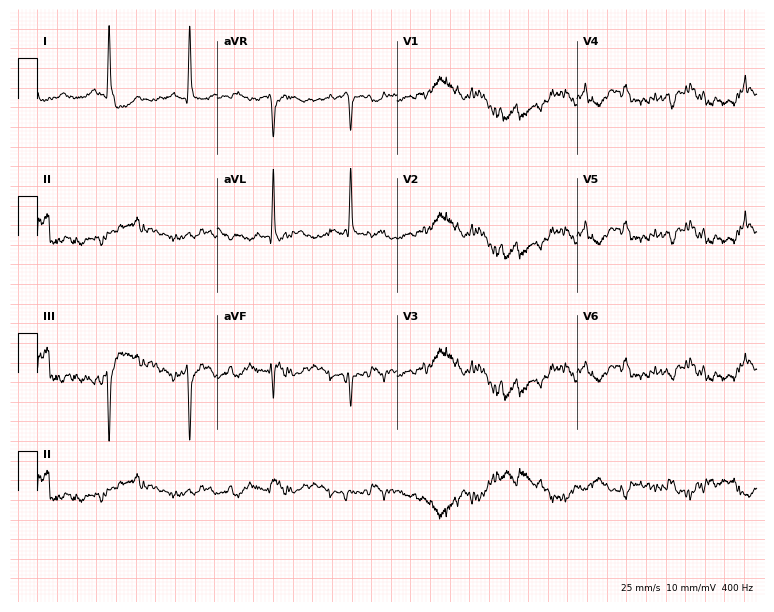
ECG (7.3-second recording at 400 Hz) — a male patient, 65 years old. Screened for six findings — first-degree AV block, right bundle branch block, left bundle branch block, sinus bradycardia, atrial fibrillation, sinus tachycardia — none is recorded. Other findings, if any, are not listed.